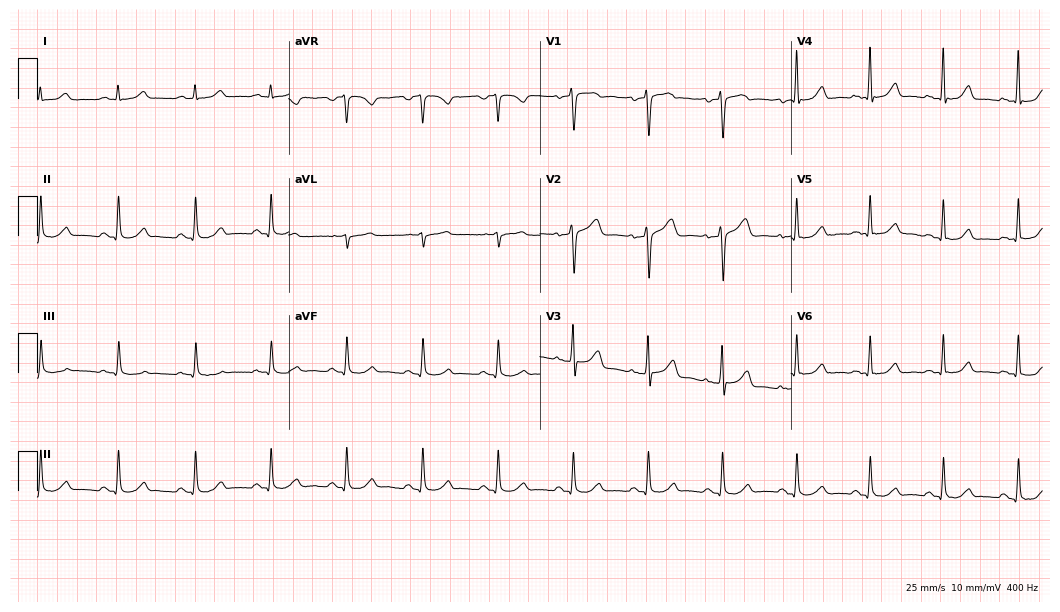
12-lead ECG from a male patient, 48 years old. Recorded interpretation: within normal limits.